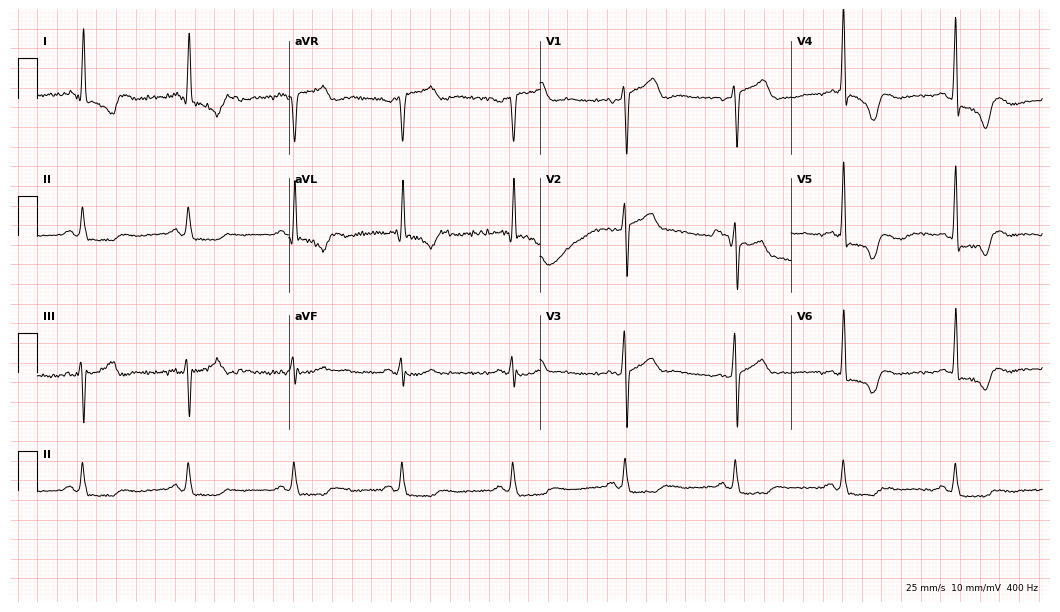
12-lead ECG from a male patient, 60 years old. Screened for six findings — first-degree AV block, right bundle branch block, left bundle branch block, sinus bradycardia, atrial fibrillation, sinus tachycardia — none is recorded.